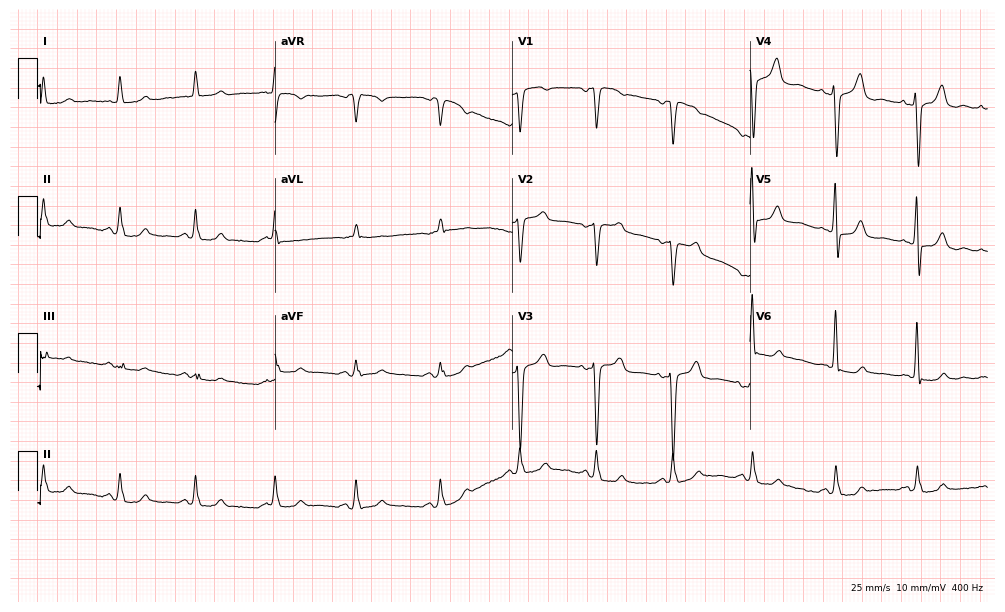
12-lead ECG from an 80-year-old female patient. No first-degree AV block, right bundle branch block, left bundle branch block, sinus bradycardia, atrial fibrillation or sinus tachycardia recorded for this tracing. Findings outside these six are not listed.